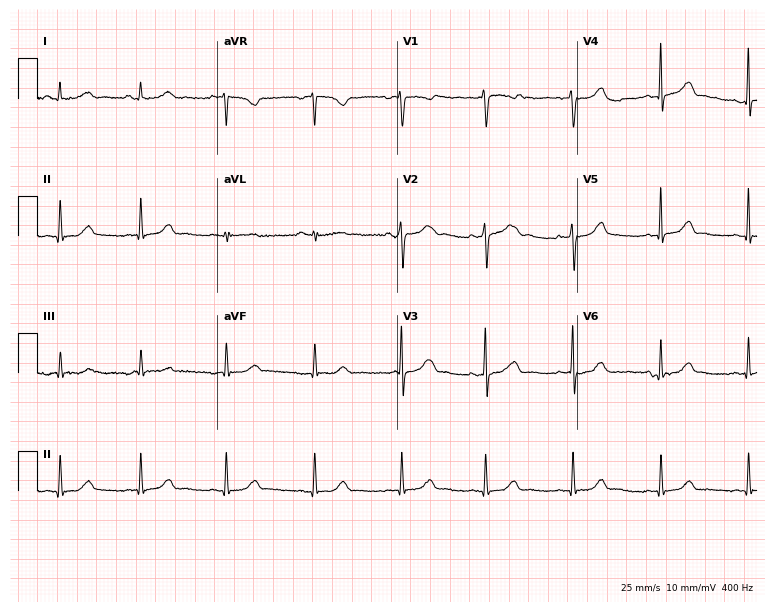
Resting 12-lead electrocardiogram (7.3-second recording at 400 Hz). Patient: a 23-year-old female. None of these six findings is recorded: first-degree AV block, right bundle branch block, left bundle branch block, sinus bradycardia, atrial fibrillation, sinus tachycardia. Other findings, if any, are not listed.